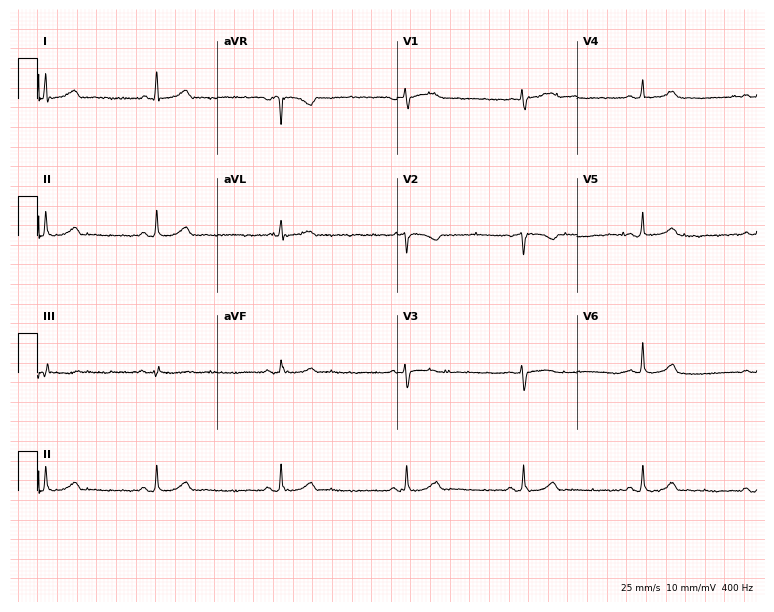
12-lead ECG from a female patient, 52 years old. Recorded interpretation: within normal limits.